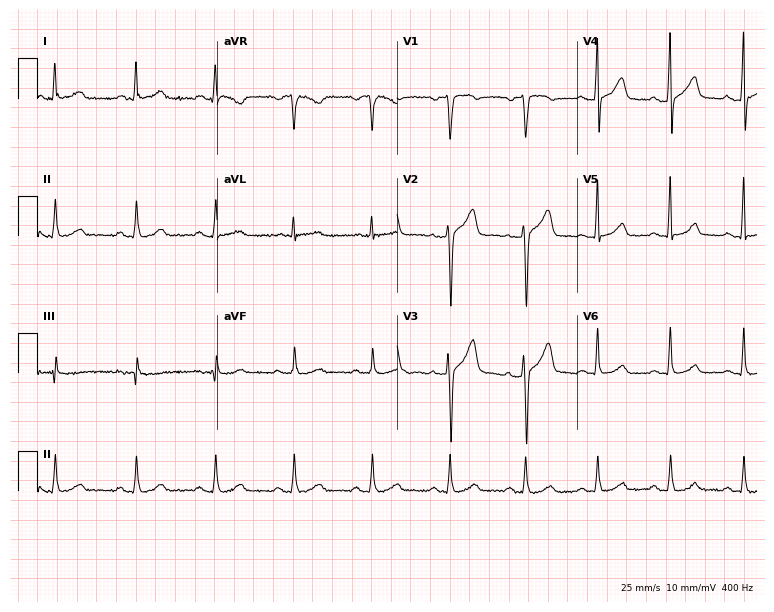
Standard 12-lead ECG recorded from a 45-year-old male (7.3-second recording at 400 Hz). None of these six findings is recorded: first-degree AV block, right bundle branch block, left bundle branch block, sinus bradycardia, atrial fibrillation, sinus tachycardia. Findings outside these six are not listed.